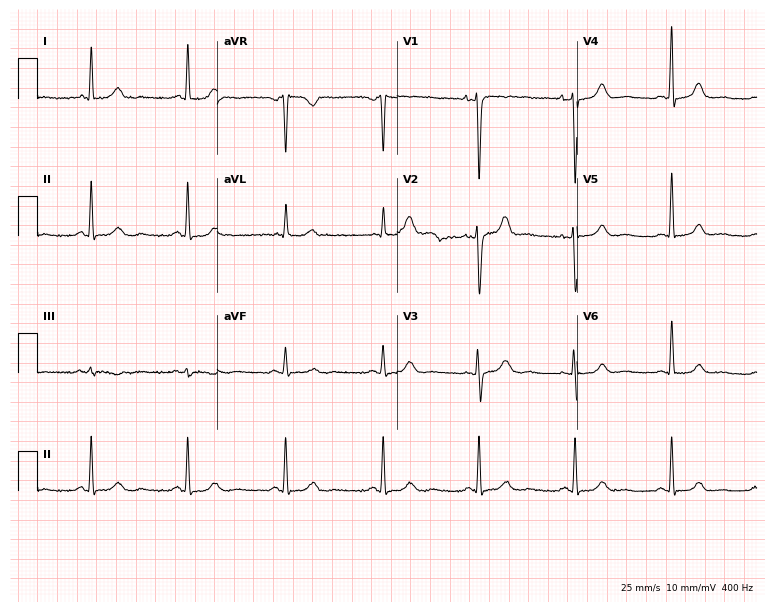
Standard 12-lead ECG recorded from a female, 64 years old. Read as a normal ECG.